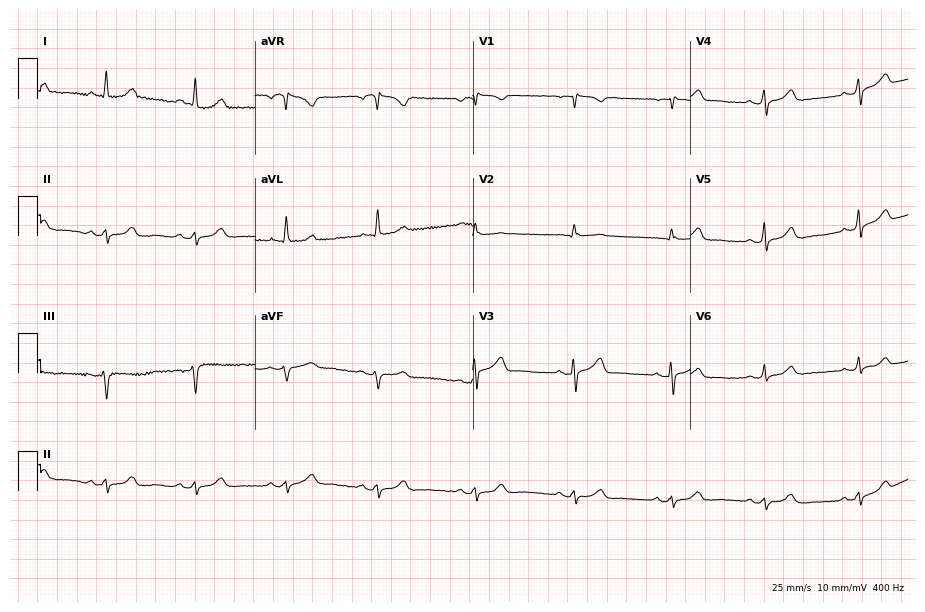
Electrocardiogram (8.9-second recording at 400 Hz), a 69-year-old female. Of the six screened findings (first-degree AV block, right bundle branch block (RBBB), left bundle branch block (LBBB), sinus bradycardia, atrial fibrillation (AF), sinus tachycardia), none is recorded.